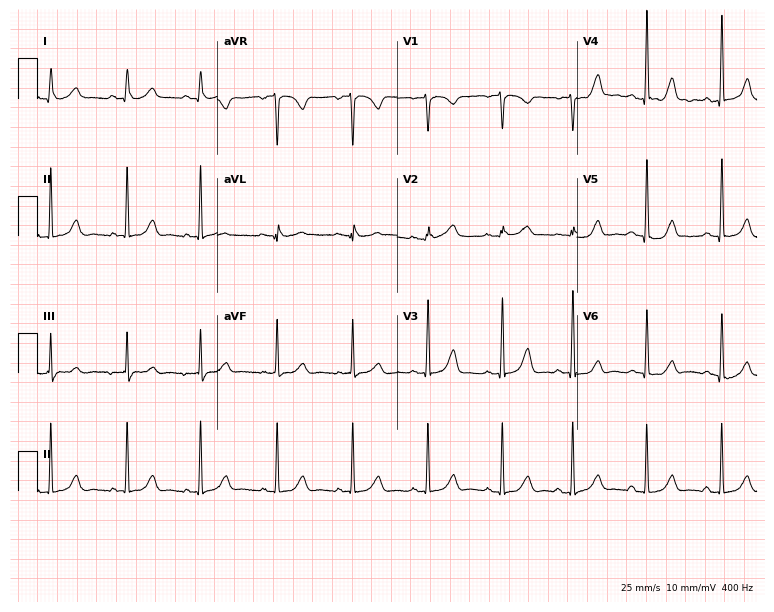
Resting 12-lead electrocardiogram (7.3-second recording at 400 Hz). Patient: a woman, 55 years old. None of these six findings is recorded: first-degree AV block, right bundle branch block, left bundle branch block, sinus bradycardia, atrial fibrillation, sinus tachycardia.